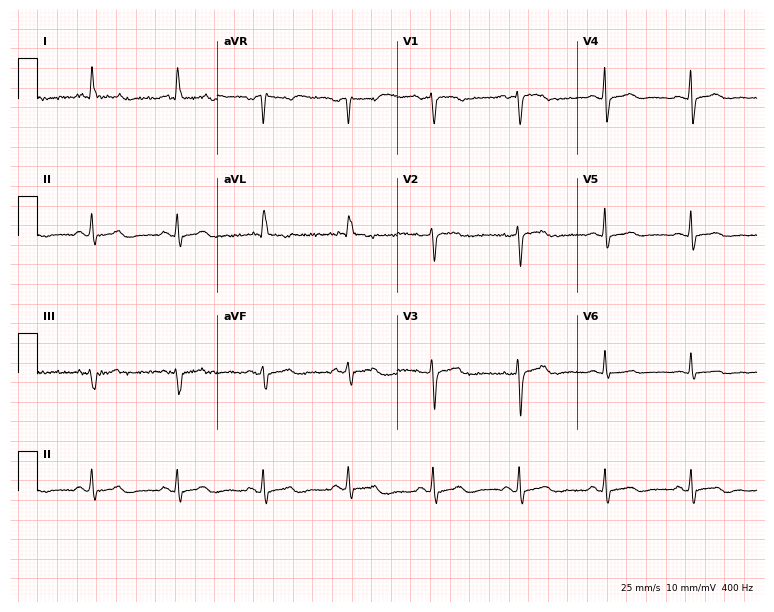
Standard 12-lead ECG recorded from a female, 78 years old (7.3-second recording at 400 Hz). None of these six findings is recorded: first-degree AV block, right bundle branch block, left bundle branch block, sinus bradycardia, atrial fibrillation, sinus tachycardia.